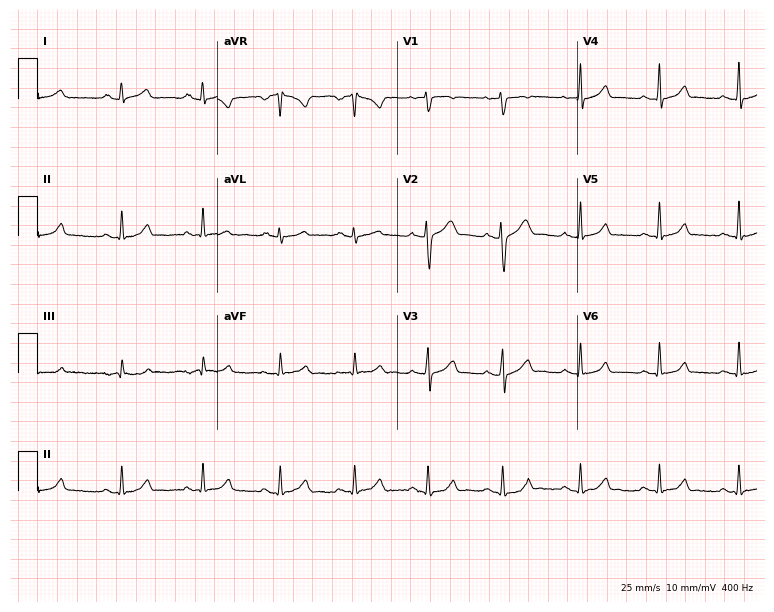
Resting 12-lead electrocardiogram. Patient: a male, 31 years old. None of these six findings is recorded: first-degree AV block, right bundle branch block (RBBB), left bundle branch block (LBBB), sinus bradycardia, atrial fibrillation (AF), sinus tachycardia. Other findings, if any, are not listed.